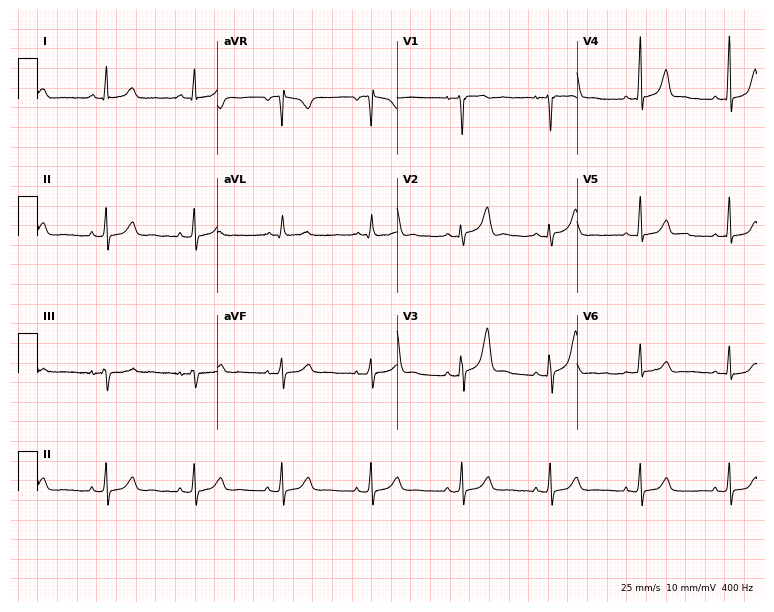
Standard 12-lead ECG recorded from a female, 42 years old (7.3-second recording at 400 Hz). Read as a normal ECG.